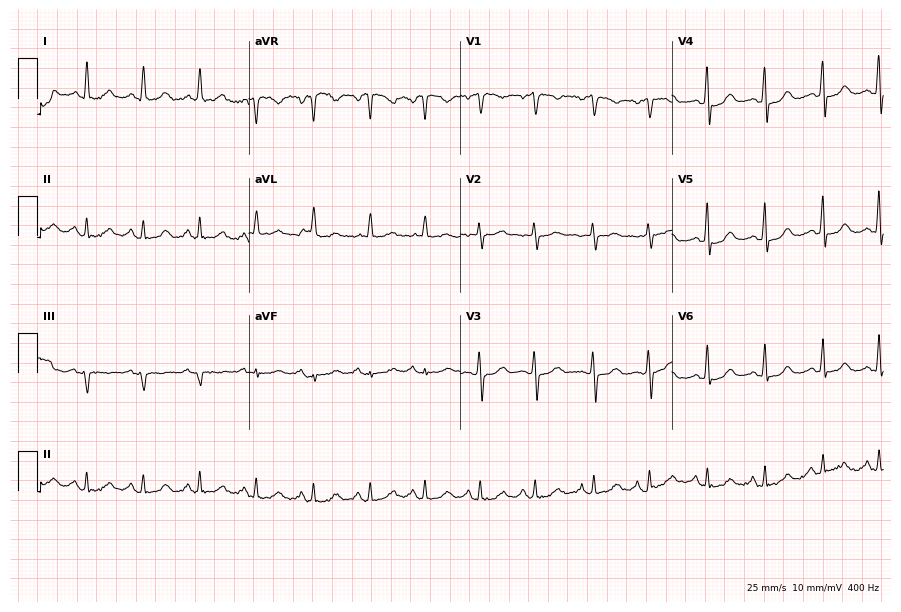
12-lead ECG from a 64-year-old female patient. No first-degree AV block, right bundle branch block, left bundle branch block, sinus bradycardia, atrial fibrillation or sinus tachycardia recorded for this tracing. Only these six findings were labelled.